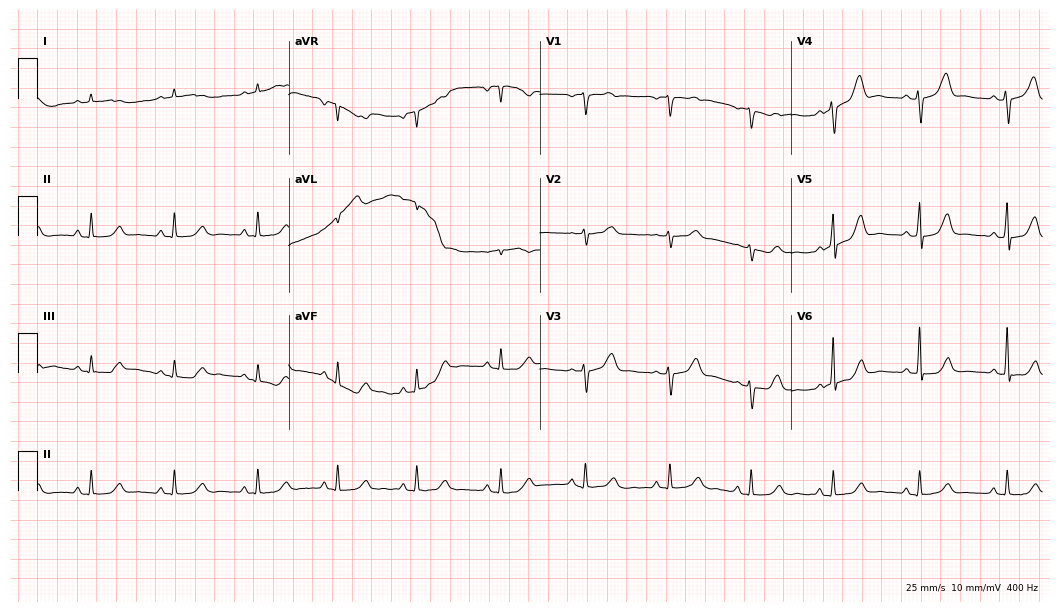
12-lead ECG from a female patient, 56 years old (10.2-second recording at 400 Hz). Recorded interpretation: within normal limits.